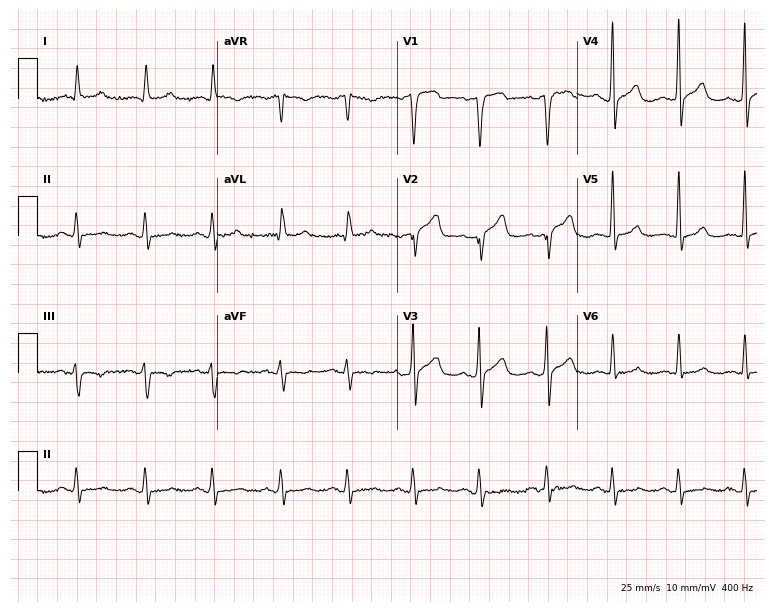
ECG — a 61-year-old male. Screened for six findings — first-degree AV block, right bundle branch block, left bundle branch block, sinus bradycardia, atrial fibrillation, sinus tachycardia — none is recorded.